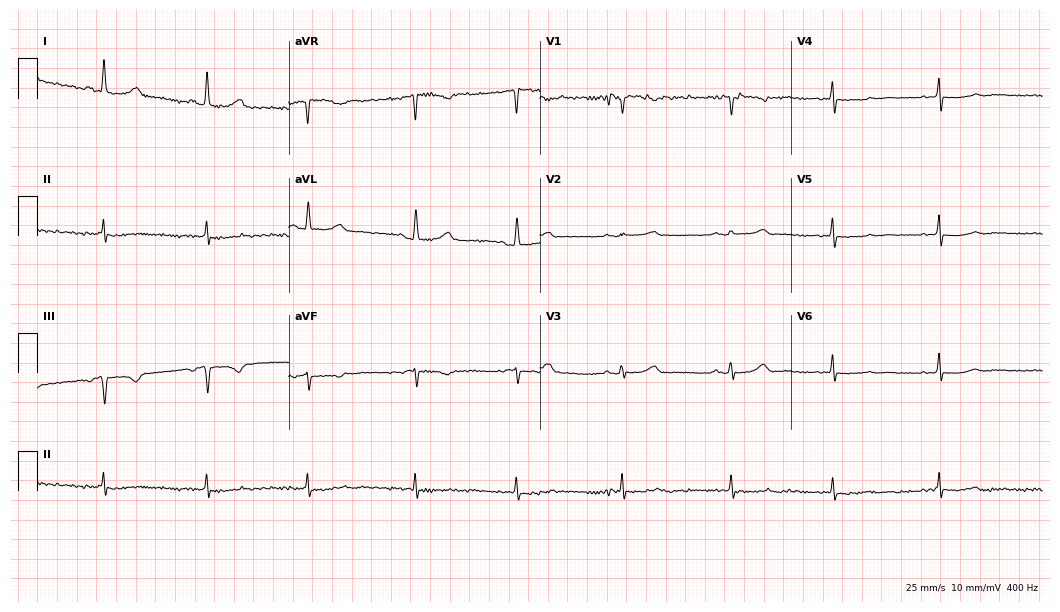
ECG — a 69-year-old woman. Screened for six findings — first-degree AV block, right bundle branch block (RBBB), left bundle branch block (LBBB), sinus bradycardia, atrial fibrillation (AF), sinus tachycardia — none is recorded.